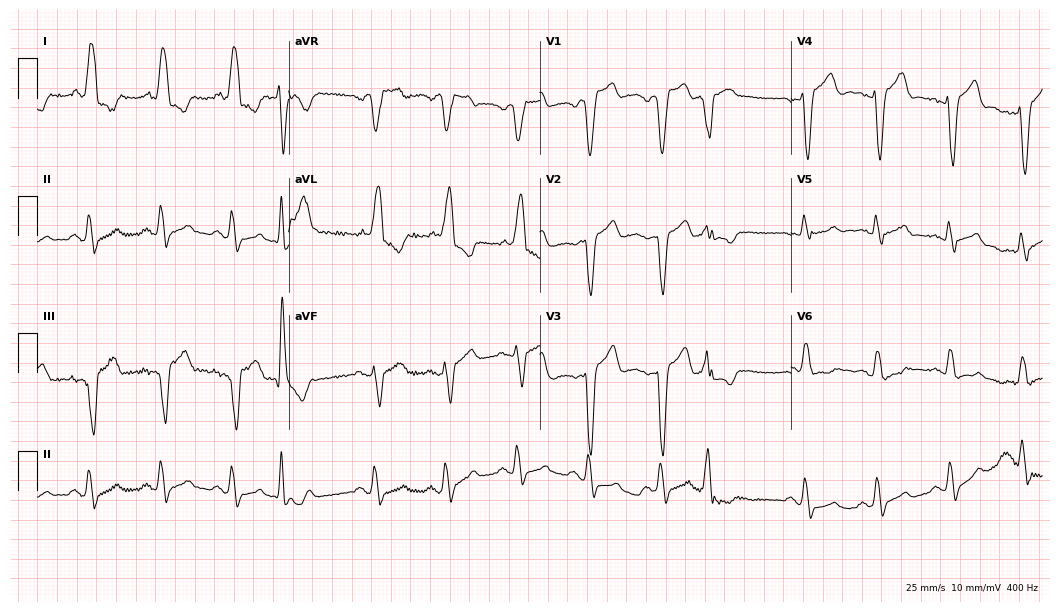
Electrocardiogram, a woman, 79 years old. Interpretation includes left bundle branch block.